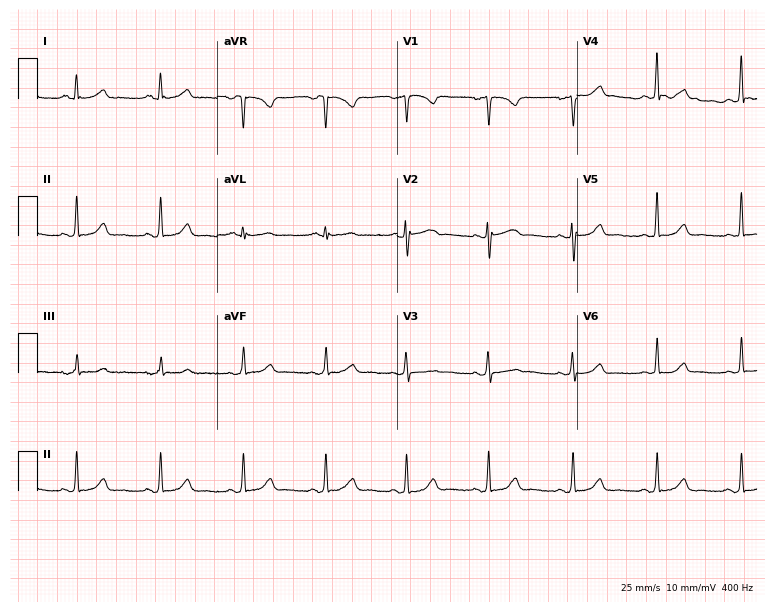
Electrocardiogram, a 34-year-old woman. Overall reading on record: normal ECG.